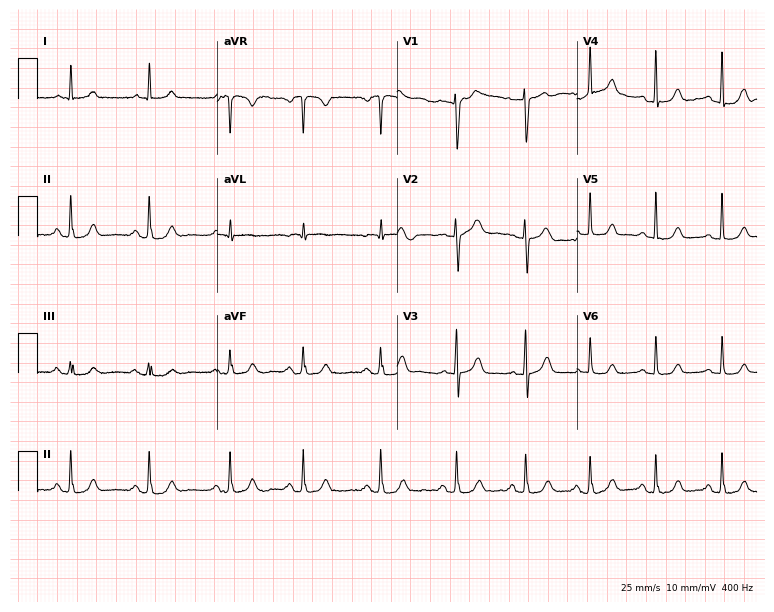
Standard 12-lead ECG recorded from a female, 31 years old. Read as a normal ECG.